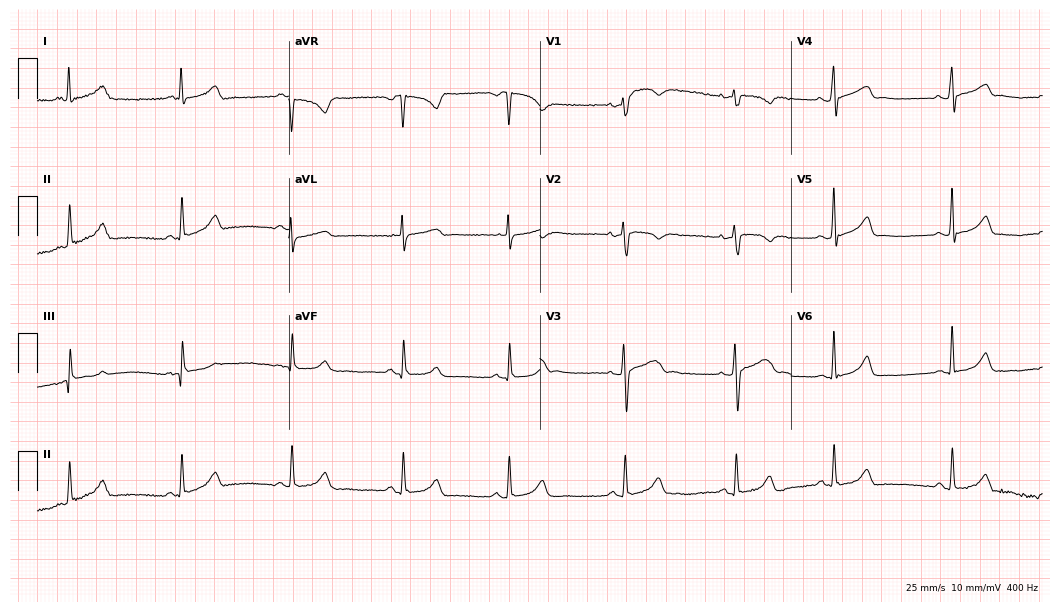
ECG (10.2-second recording at 400 Hz) — a 19-year-old woman. Labelled as a normal ECG.